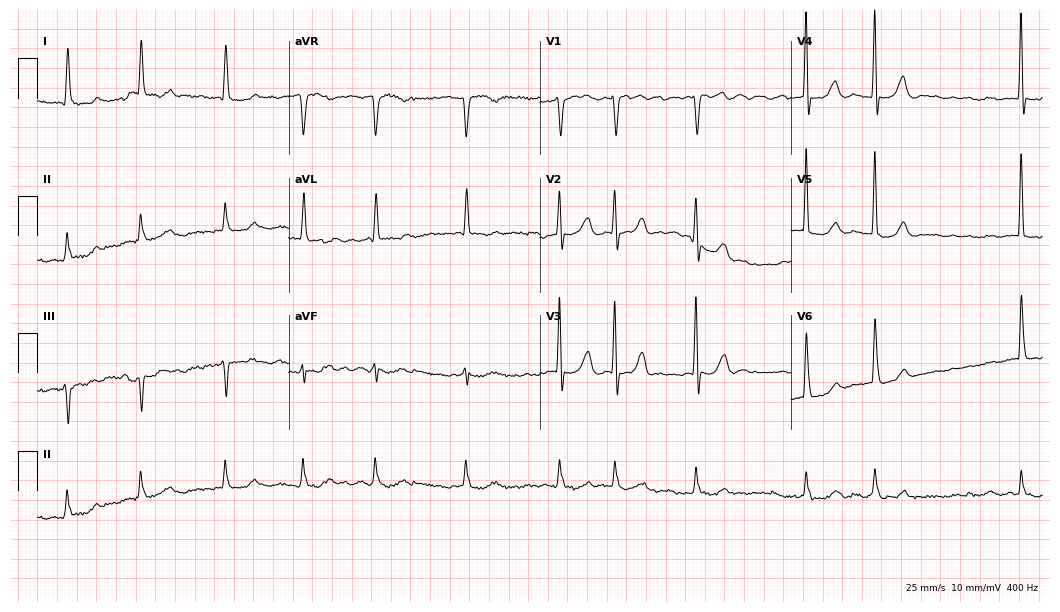
12-lead ECG from an 83-year-old female patient. Findings include atrial fibrillation (AF).